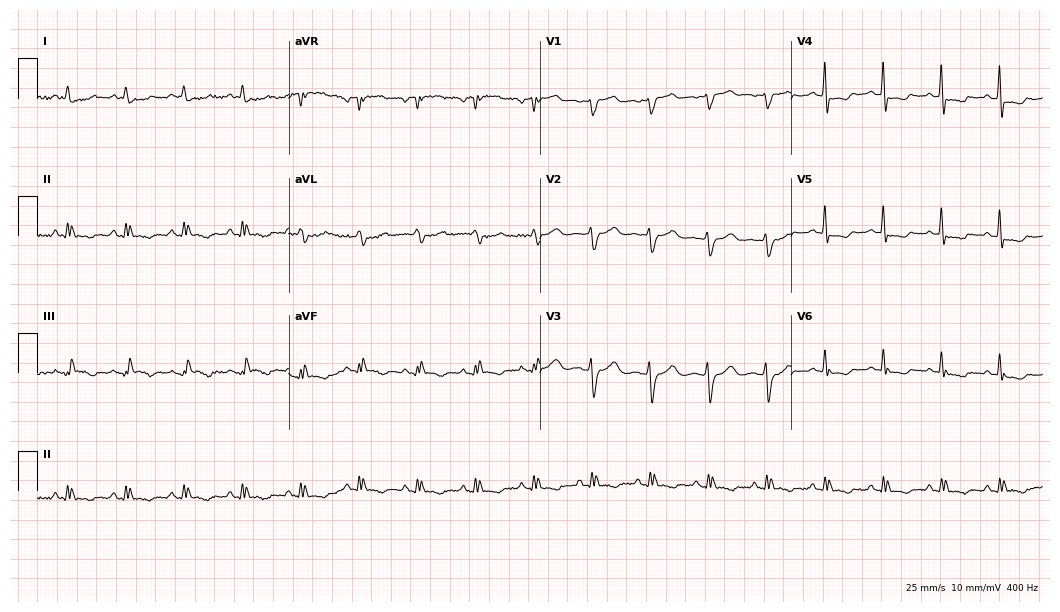
Electrocardiogram, a 55-year-old female. Of the six screened findings (first-degree AV block, right bundle branch block, left bundle branch block, sinus bradycardia, atrial fibrillation, sinus tachycardia), none is recorded. Other findings, if any, are not listed.